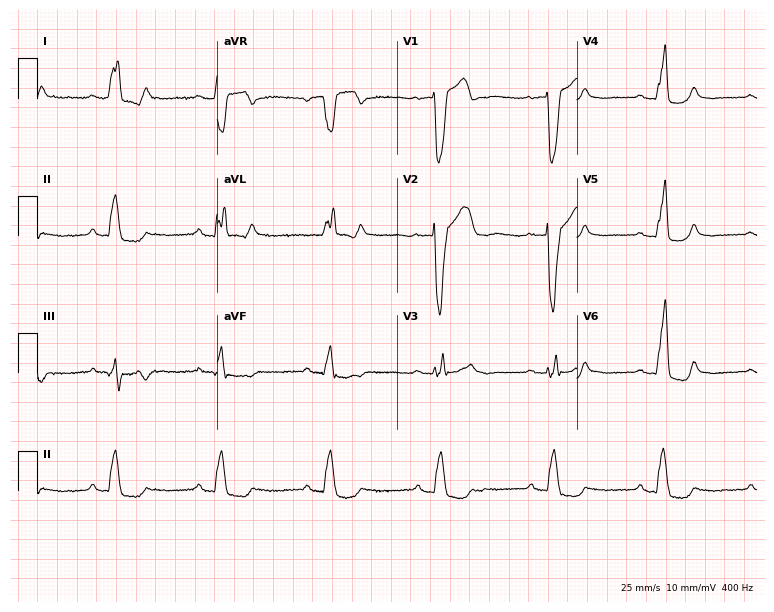
Resting 12-lead electrocardiogram (7.3-second recording at 400 Hz). Patient: a 63-year-old male. The tracing shows left bundle branch block.